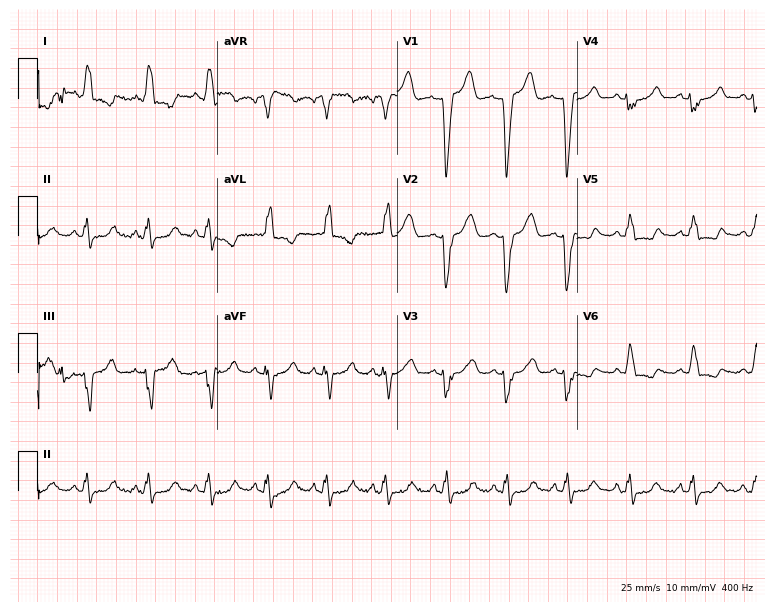
ECG — a 73-year-old female patient. Findings include left bundle branch block.